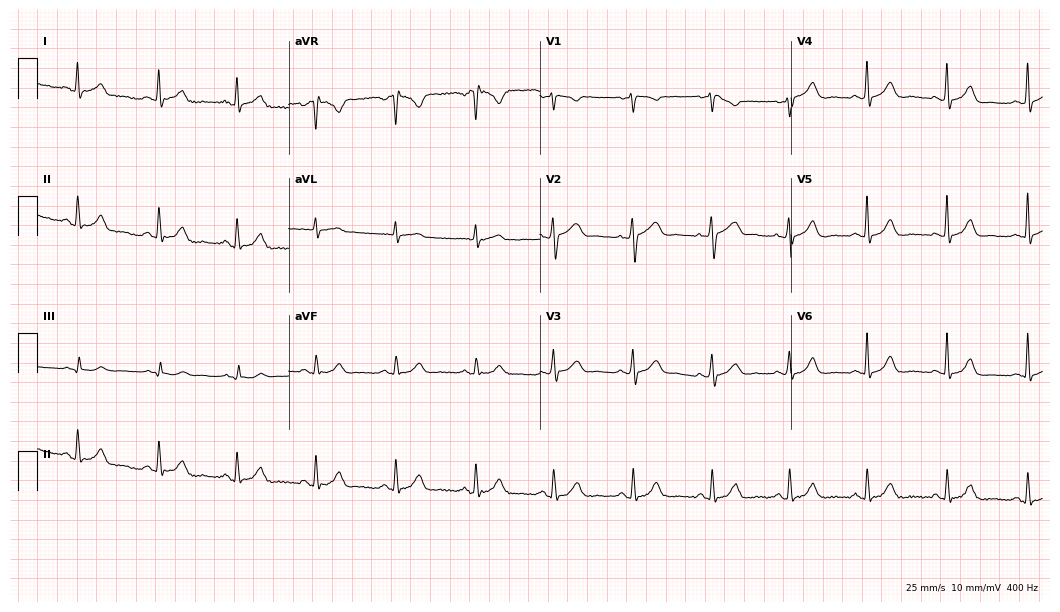
12-lead ECG from a female, 57 years old. Labelled as a normal ECG.